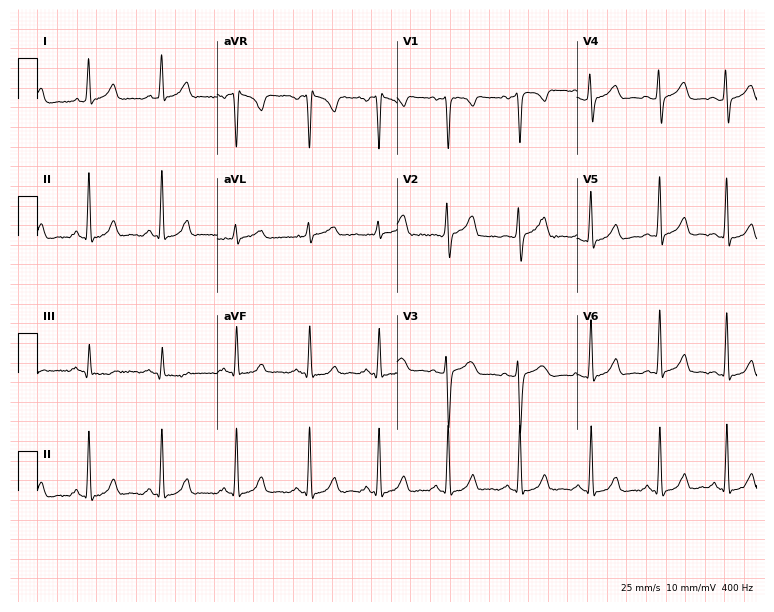
12-lead ECG (7.3-second recording at 400 Hz) from a female patient, 36 years old. Screened for six findings — first-degree AV block, right bundle branch block, left bundle branch block, sinus bradycardia, atrial fibrillation, sinus tachycardia — none is recorded.